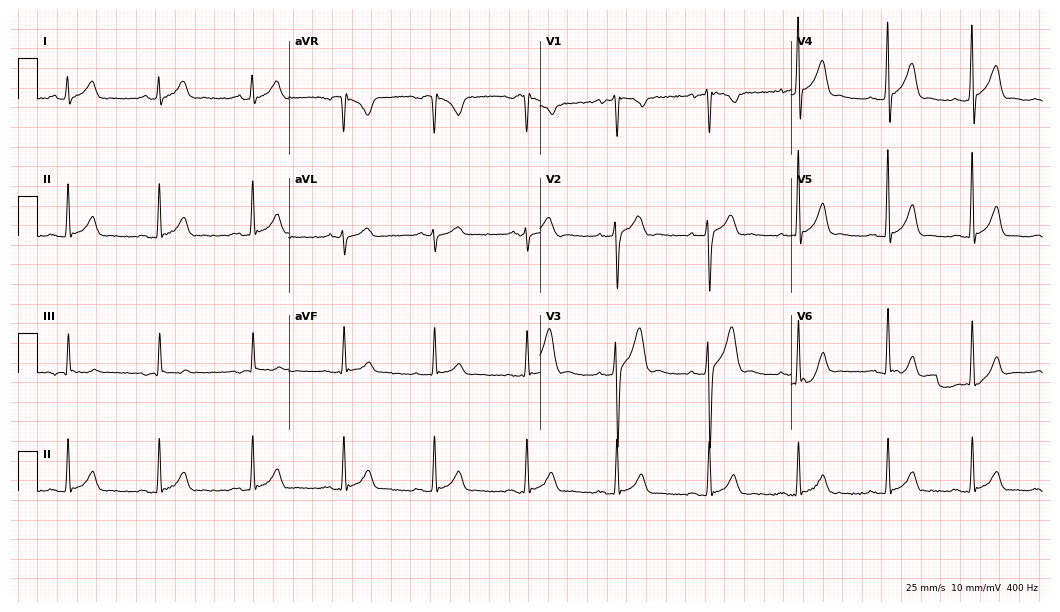
12-lead ECG from a male, 25 years old (10.2-second recording at 400 Hz). Recorded interpretation: within normal limits.